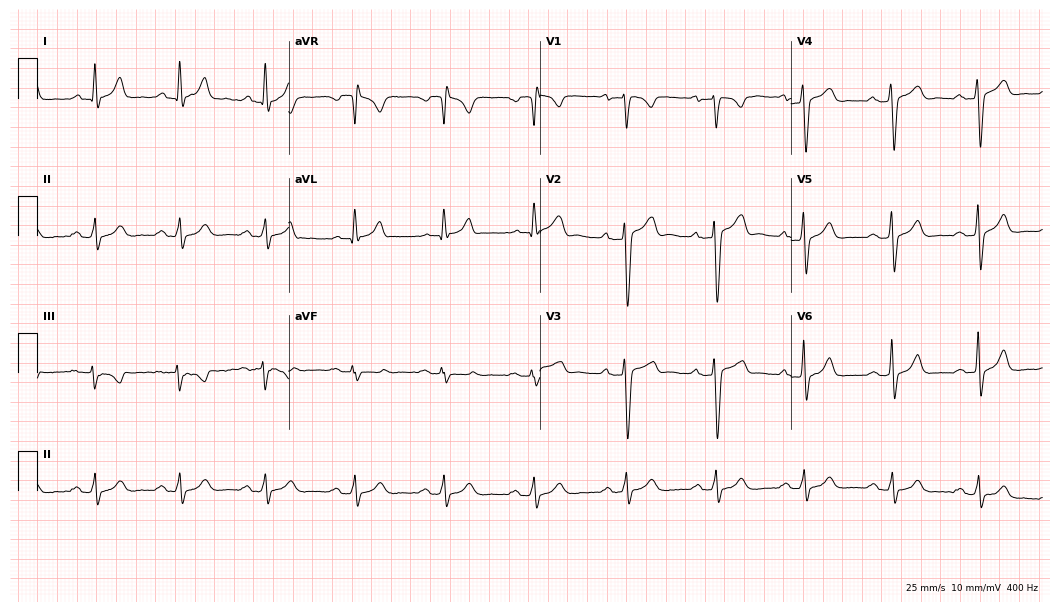
ECG — a 43-year-old man. Labelled as a normal ECG.